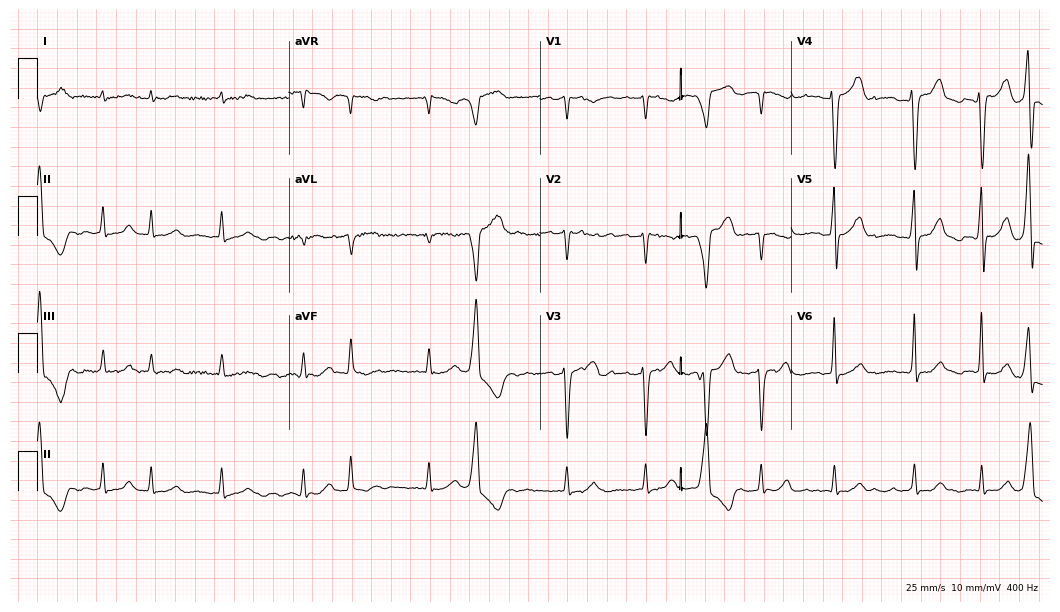
Resting 12-lead electrocardiogram. Patient: a male, 72 years old. The tracing shows atrial fibrillation.